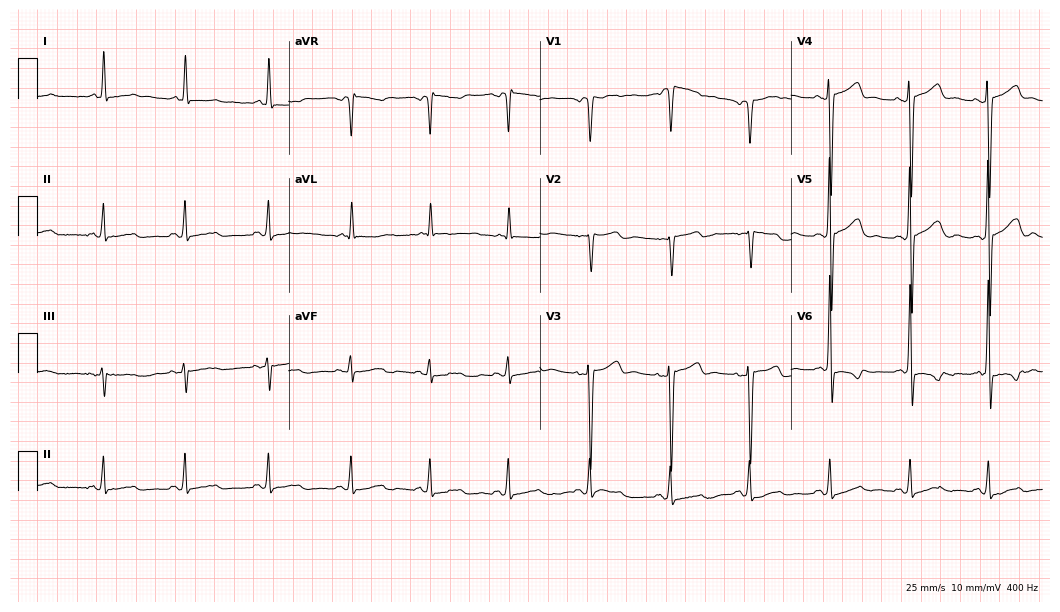
12-lead ECG (10.2-second recording at 400 Hz) from a female, 54 years old. Labelled as a normal ECG.